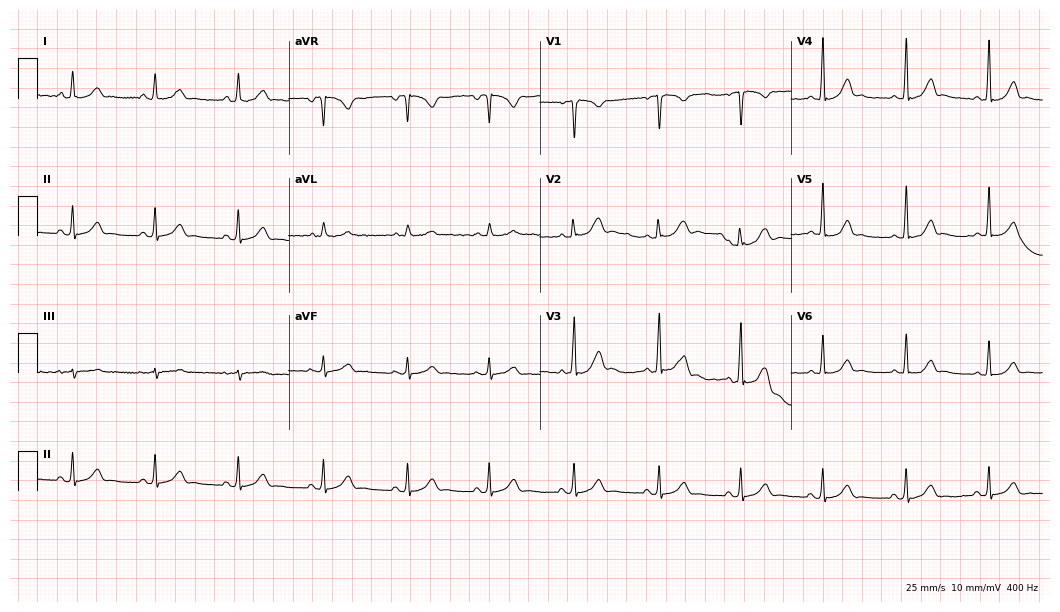
12-lead ECG from a female patient, 18 years old (10.2-second recording at 400 Hz). Recorded interpretation: within normal limits.